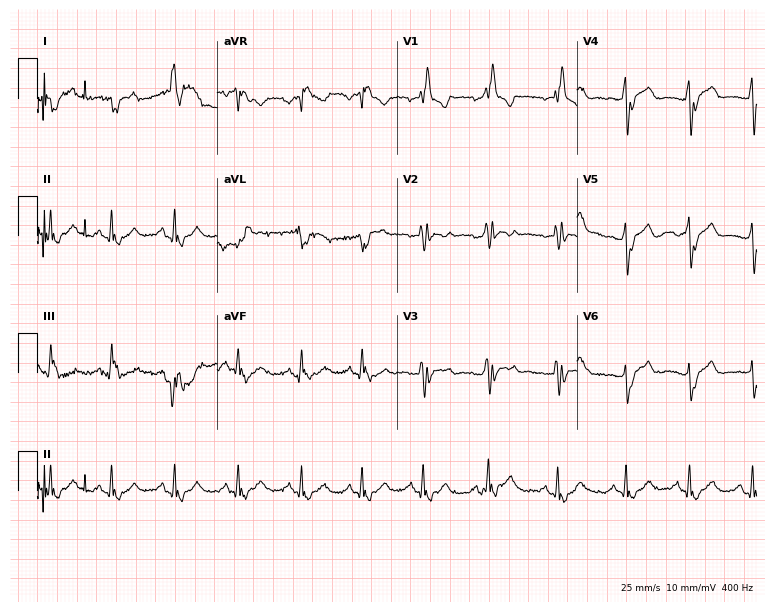
12-lead ECG from a man, 83 years old (7.3-second recording at 400 Hz). Shows left bundle branch block.